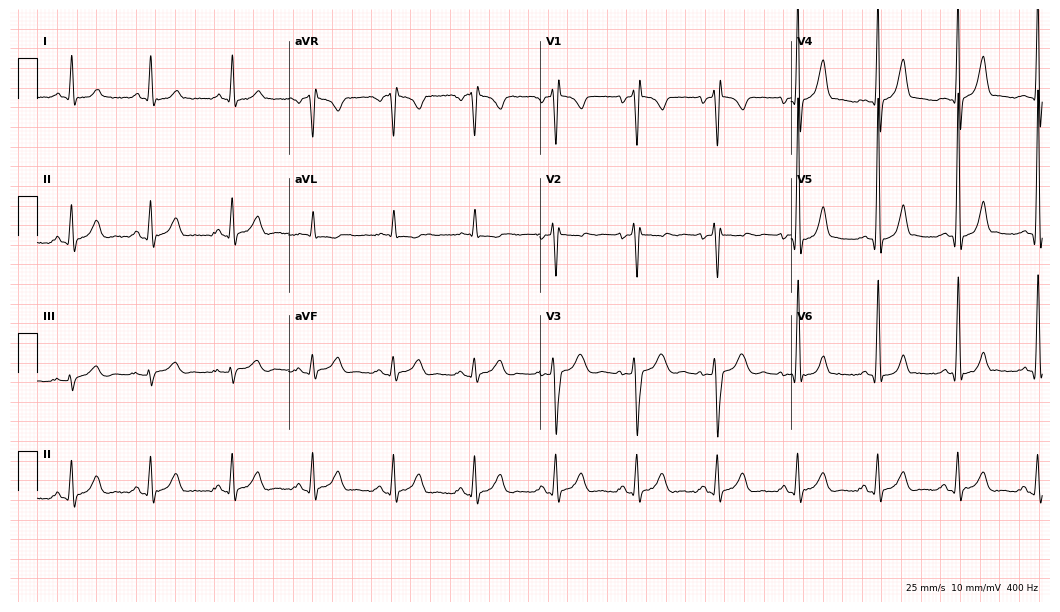
12-lead ECG from a 34-year-old female patient (10.2-second recording at 400 Hz). No first-degree AV block, right bundle branch block (RBBB), left bundle branch block (LBBB), sinus bradycardia, atrial fibrillation (AF) or sinus tachycardia recorded for this tracing. Other findings, if any, are not listed.